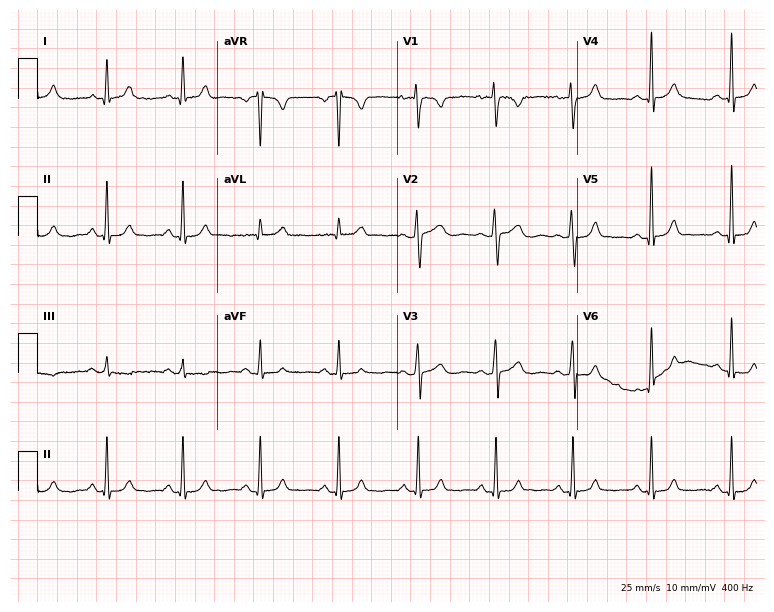
Standard 12-lead ECG recorded from a female, 37 years old (7.3-second recording at 400 Hz). Read as a normal ECG.